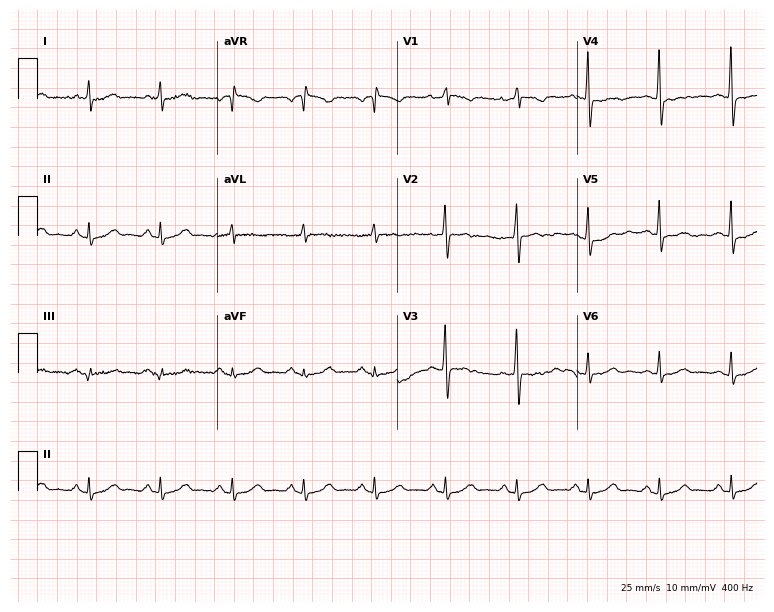
Electrocardiogram (7.3-second recording at 400 Hz), a male patient, 65 years old. Of the six screened findings (first-degree AV block, right bundle branch block, left bundle branch block, sinus bradycardia, atrial fibrillation, sinus tachycardia), none is recorded. Only these six findings were labelled.